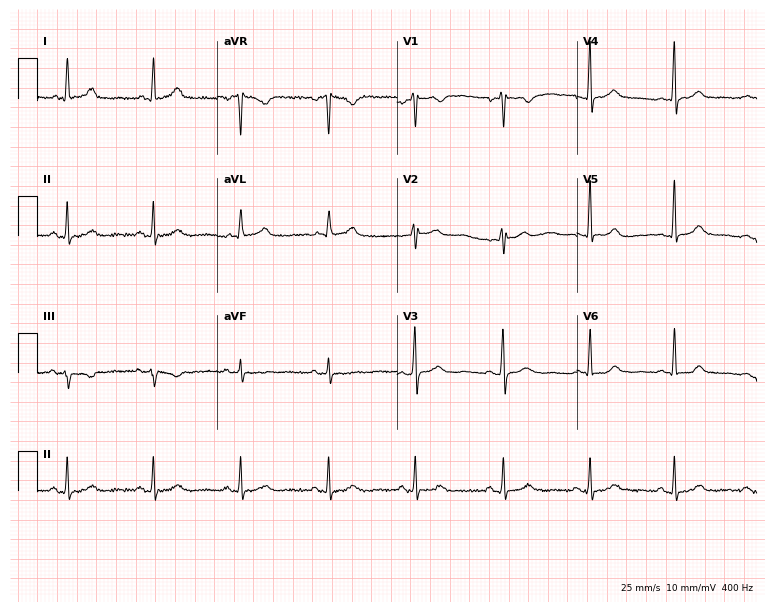
Standard 12-lead ECG recorded from a female patient, 34 years old (7.3-second recording at 400 Hz). Read as a normal ECG.